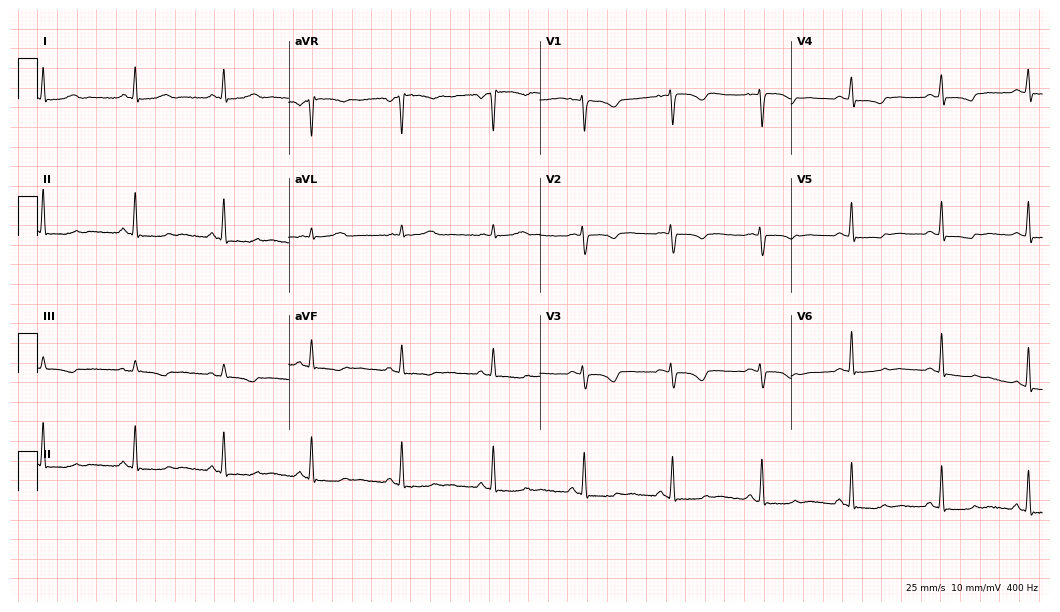
Electrocardiogram (10.2-second recording at 400 Hz), a female, 54 years old. Of the six screened findings (first-degree AV block, right bundle branch block (RBBB), left bundle branch block (LBBB), sinus bradycardia, atrial fibrillation (AF), sinus tachycardia), none is recorded. Other findings, if any, are not listed.